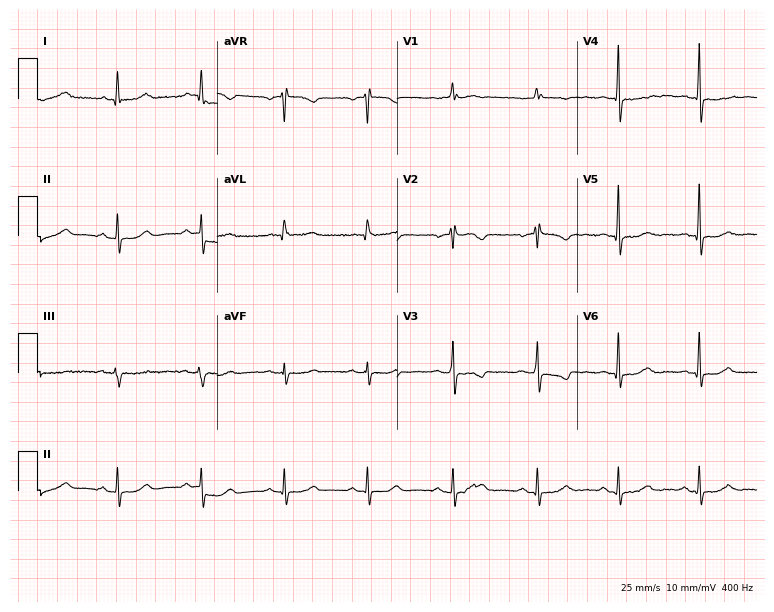
12-lead ECG (7.3-second recording at 400 Hz) from a female, 67 years old. Screened for six findings — first-degree AV block, right bundle branch block, left bundle branch block, sinus bradycardia, atrial fibrillation, sinus tachycardia — none is recorded.